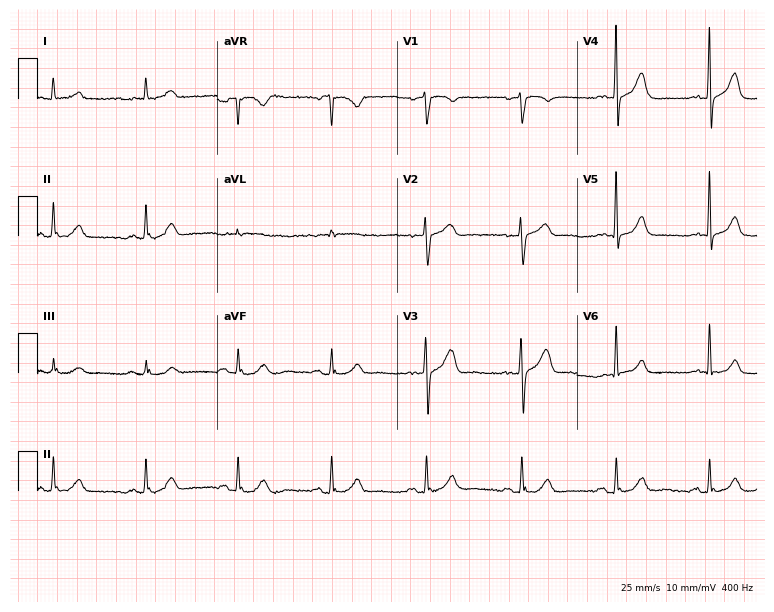
ECG — a 73-year-old male patient. Screened for six findings — first-degree AV block, right bundle branch block, left bundle branch block, sinus bradycardia, atrial fibrillation, sinus tachycardia — none is recorded.